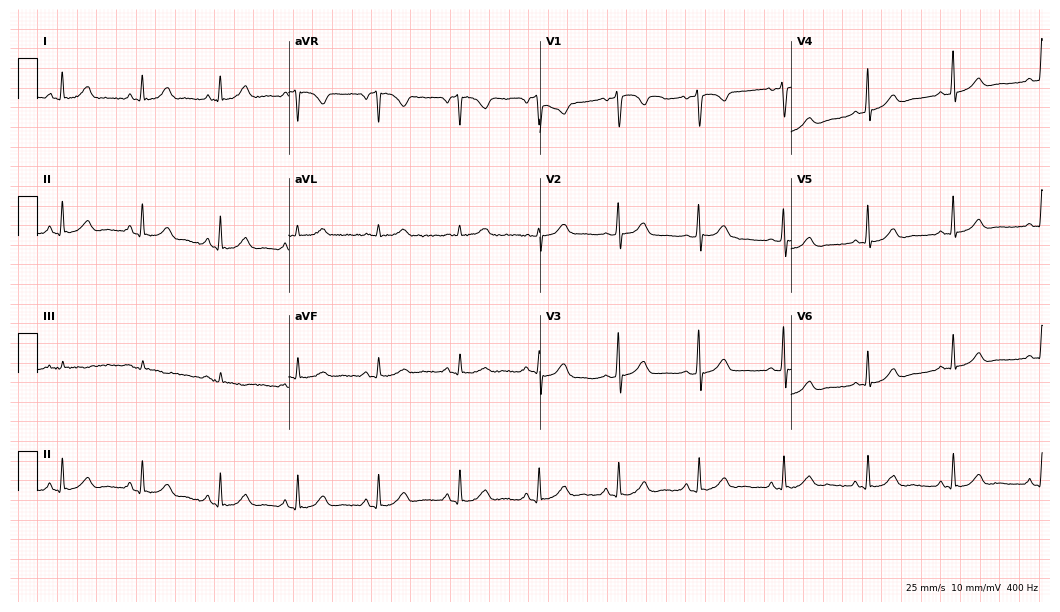
Resting 12-lead electrocardiogram (10.2-second recording at 400 Hz). Patient: a female, 41 years old. None of these six findings is recorded: first-degree AV block, right bundle branch block, left bundle branch block, sinus bradycardia, atrial fibrillation, sinus tachycardia. Findings outside these six are not listed.